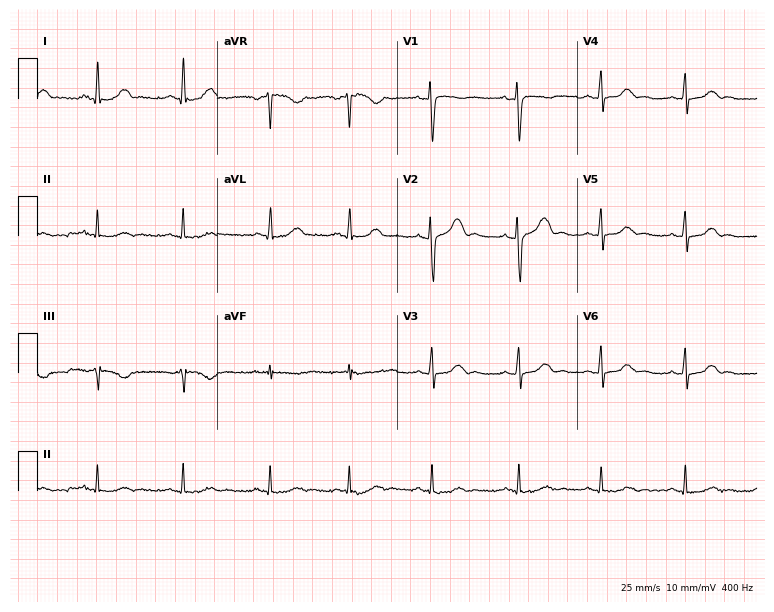
12-lead ECG (7.3-second recording at 400 Hz) from a 24-year-old man. Labelled as a normal ECG.